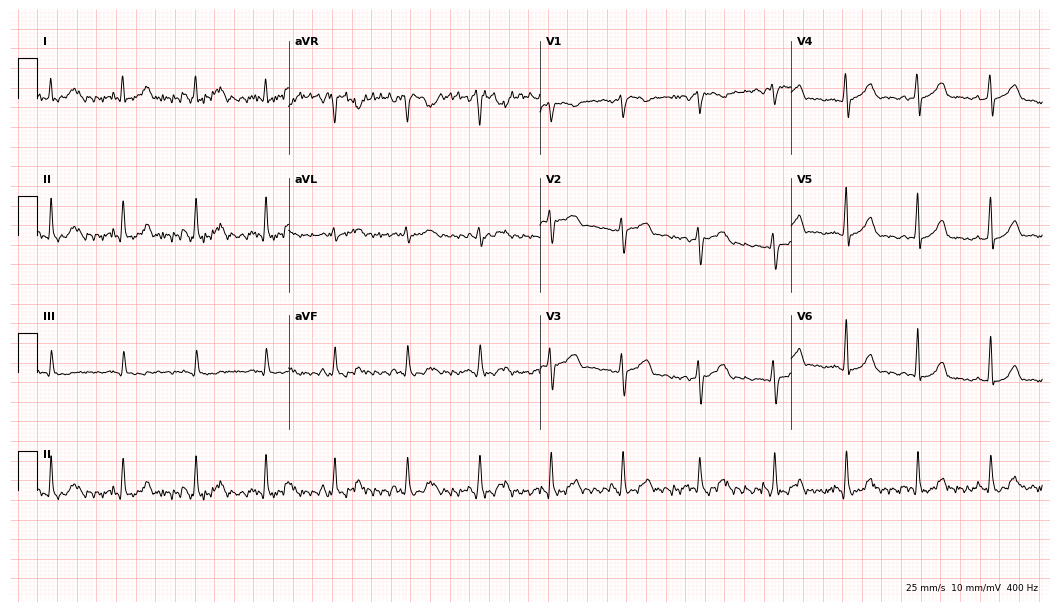
12-lead ECG from a woman, 45 years old (10.2-second recording at 400 Hz). Recorded interpretation: within normal limits.